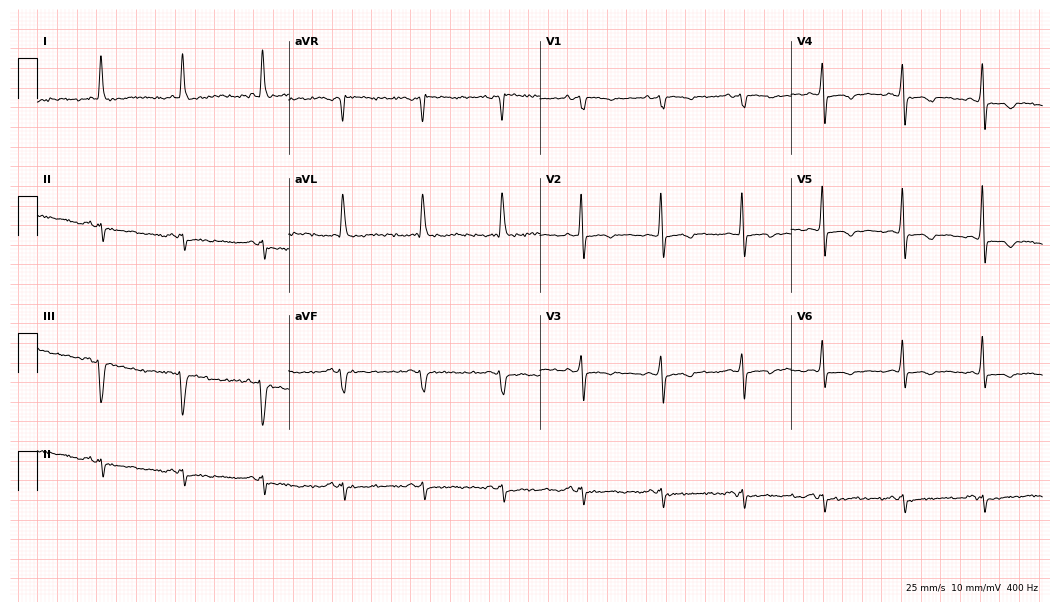
Electrocardiogram, a 79-year-old female patient. Of the six screened findings (first-degree AV block, right bundle branch block, left bundle branch block, sinus bradycardia, atrial fibrillation, sinus tachycardia), none is recorded.